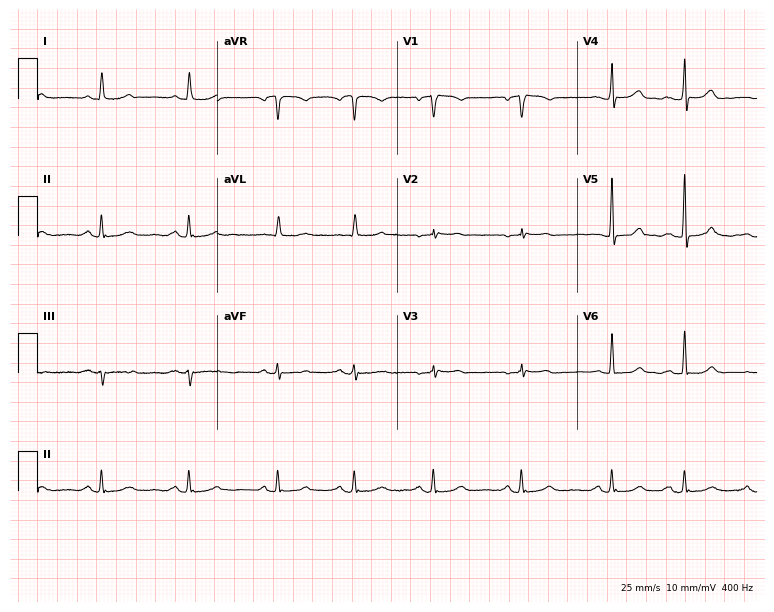
12-lead ECG (7.3-second recording at 400 Hz) from a female, 78 years old. Labelled as a normal ECG.